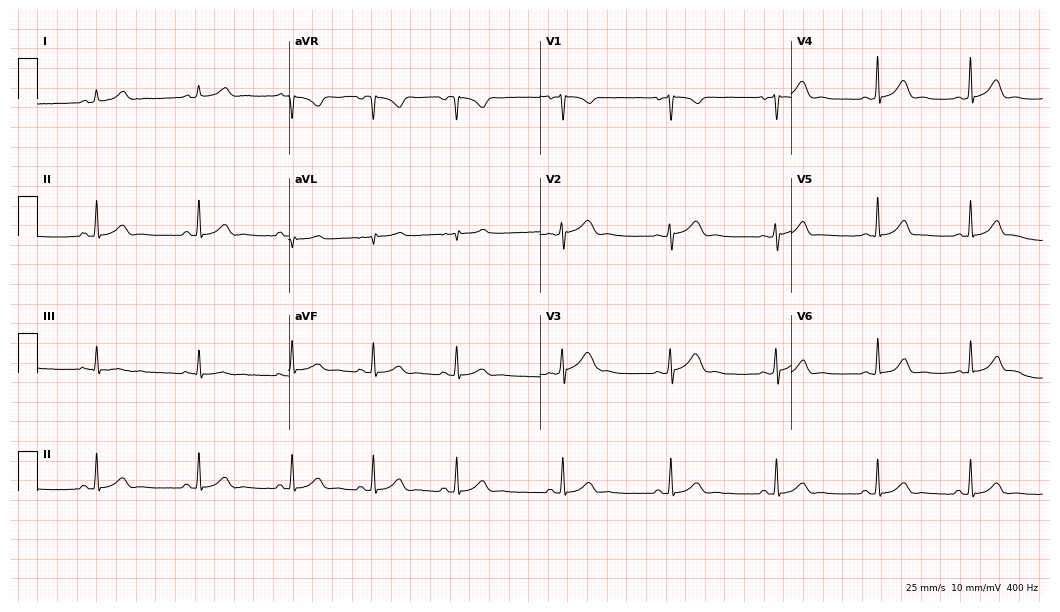
Electrocardiogram (10.2-second recording at 400 Hz), a female patient, 25 years old. Overall reading on record: normal ECG.